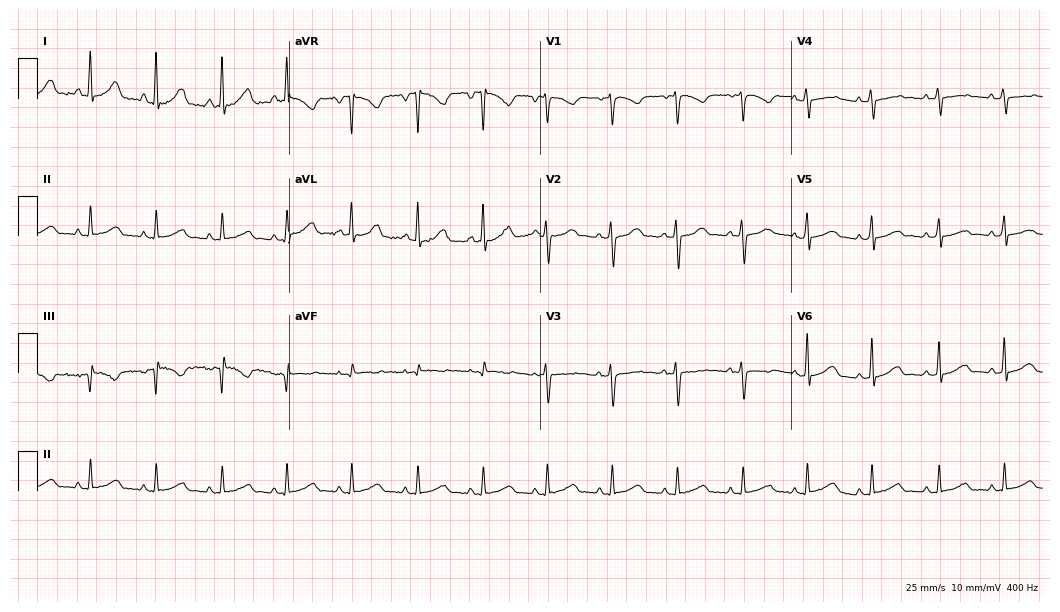
Resting 12-lead electrocardiogram (10.2-second recording at 400 Hz). Patient: a 39-year-old female. Read as a normal ECG.